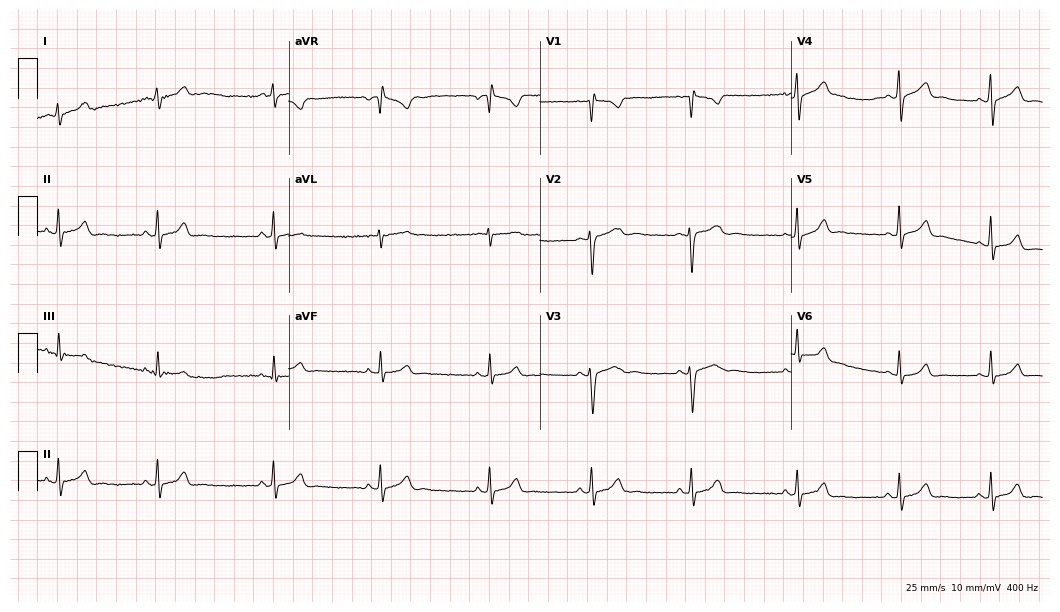
ECG — a 17-year-old woman. Labelled as a normal ECG.